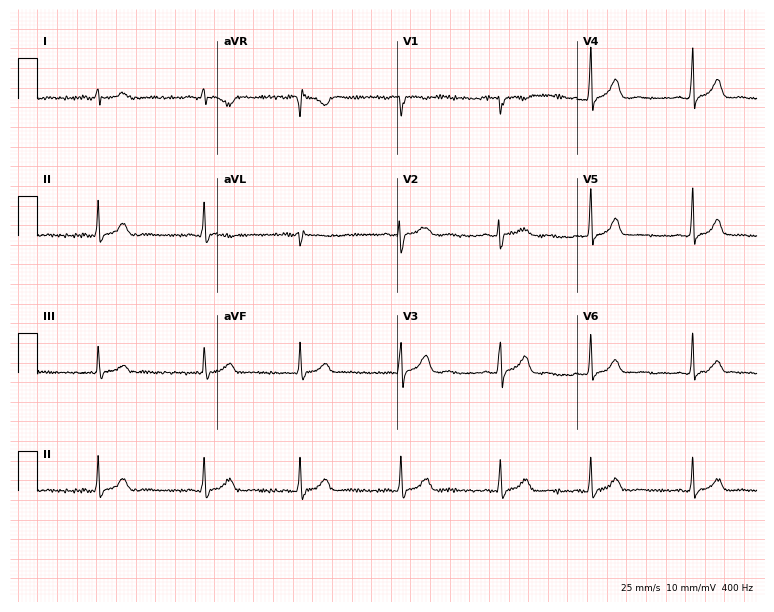
Electrocardiogram, a 24-year-old female. Of the six screened findings (first-degree AV block, right bundle branch block, left bundle branch block, sinus bradycardia, atrial fibrillation, sinus tachycardia), none is recorded.